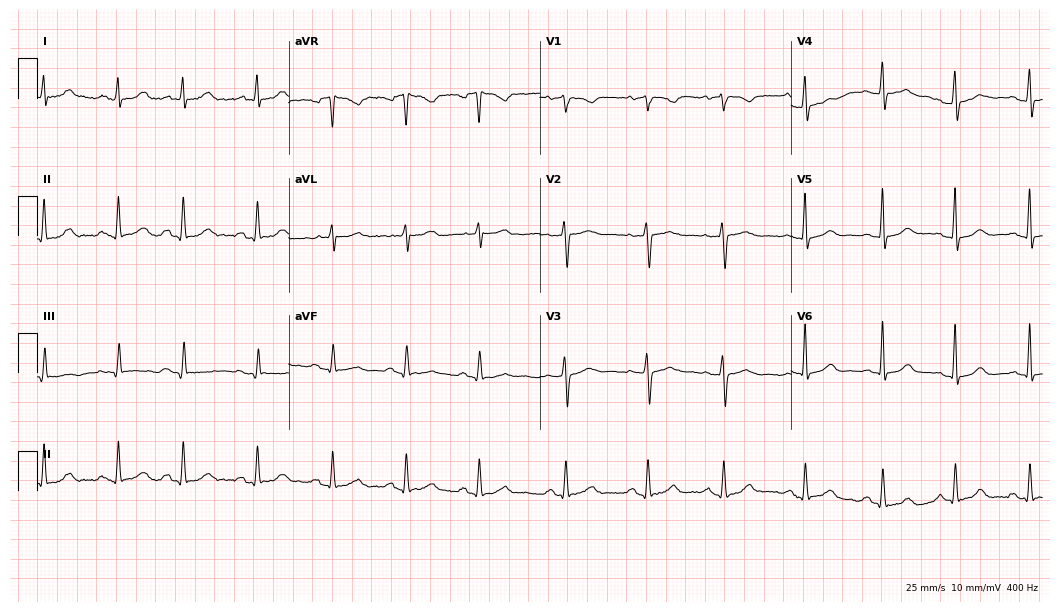
ECG (10.2-second recording at 400 Hz) — a female patient, 36 years old. Screened for six findings — first-degree AV block, right bundle branch block, left bundle branch block, sinus bradycardia, atrial fibrillation, sinus tachycardia — none is recorded.